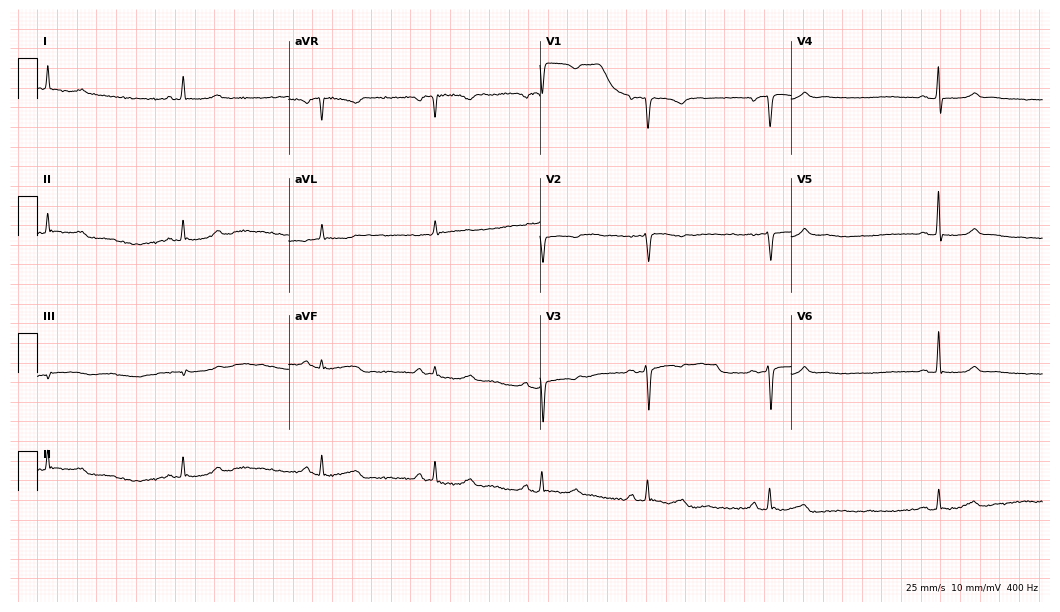
Resting 12-lead electrocardiogram (10.2-second recording at 400 Hz). Patient: a 74-year-old female. None of these six findings is recorded: first-degree AV block, right bundle branch block, left bundle branch block, sinus bradycardia, atrial fibrillation, sinus tachycardia. Other findings, if any, are not listed.